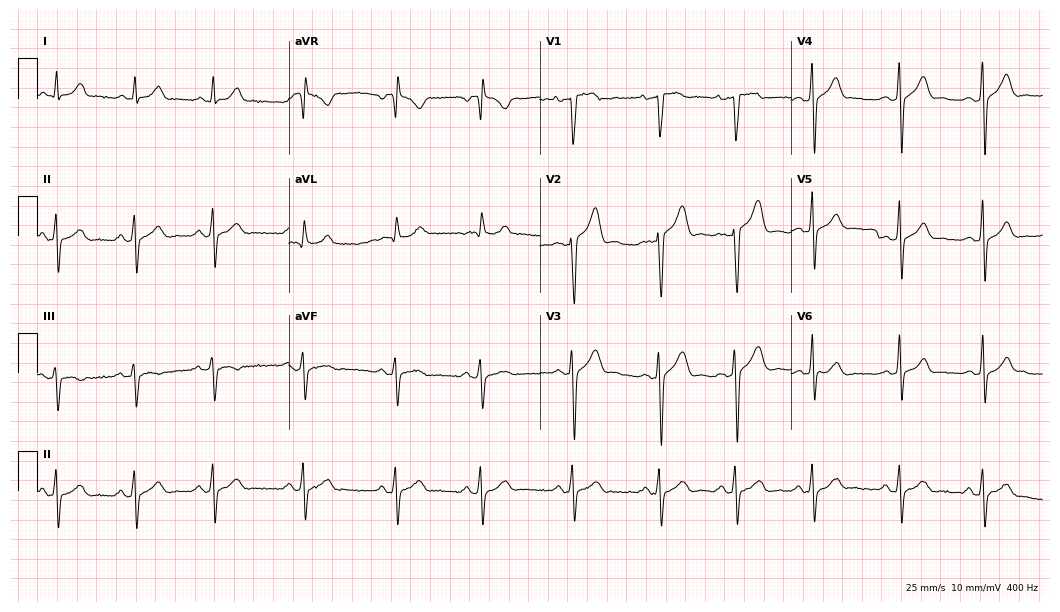
Electrocardiogram, a 24-year-old male patient. Overall reading on record: normal ECG.